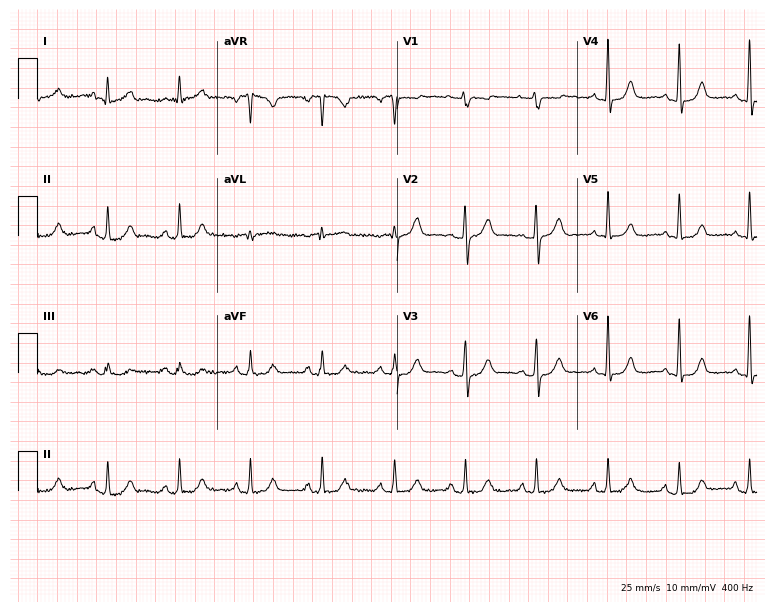
ECG — a male, 85 years old. Labelled as a normal ECG.